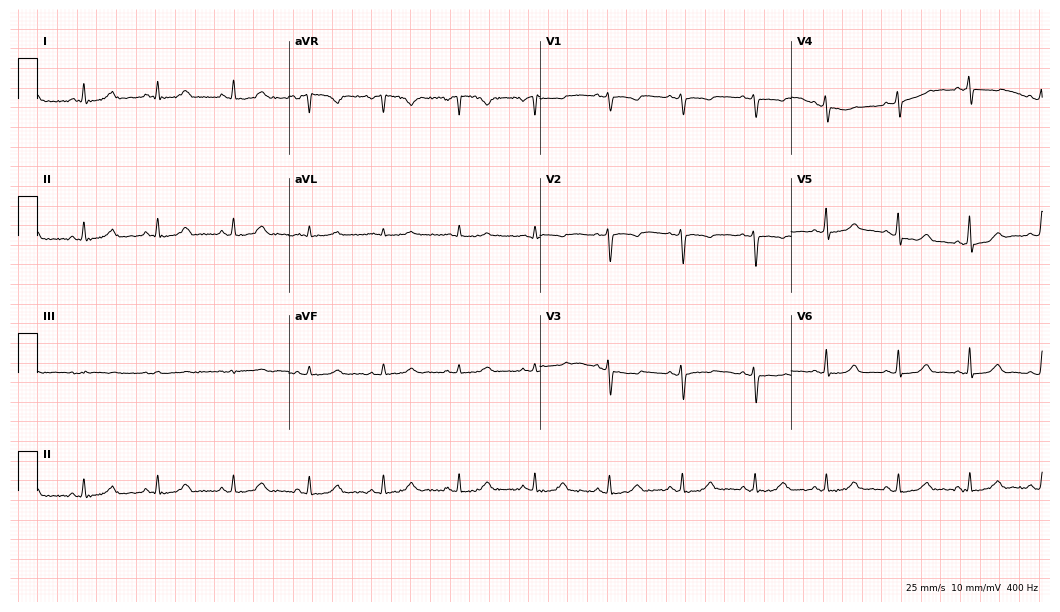
12-lead ECG from a 40-year-old female. Recorded interpretation: within normal limits.